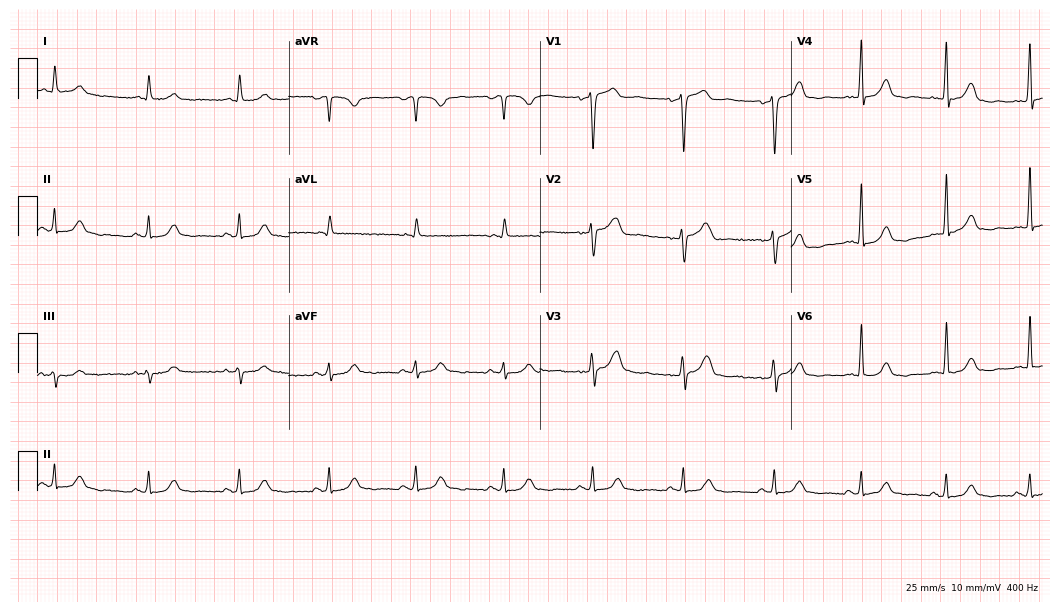
Standard 12-lead ECG recorded from a female patient, 54 years old (10.2-second recording at 400 Hz). Read as a normal ECG.